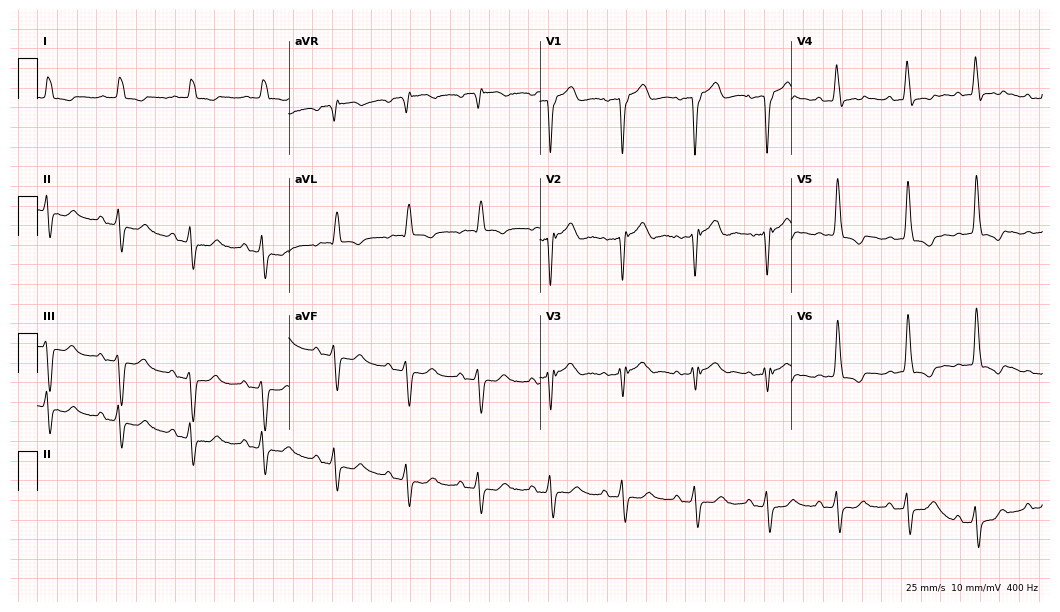
12-lead ECG from an 85-year-old man. Screened for six findings — first-degree AV block, right bundle branch block, left bundle branch block, sinus bradycardia, atrial fibrillation, sinus tachycardia — none is recorded.